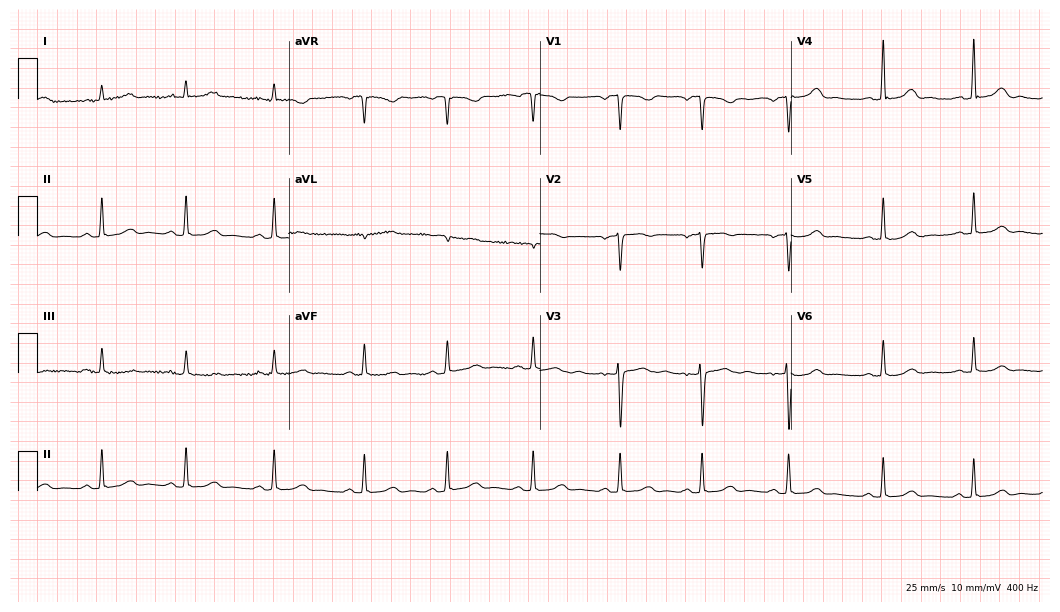
ECG (10.2-second recording at 400 Hz) — a female, 41 years old. Screened for six findings — first-degree AV block, right bundle branch block, left bundle branch block, sinus bradycardia, atrial fibrillation, sinus tachycardia — none is recorded. Findings outside these six are not listed.